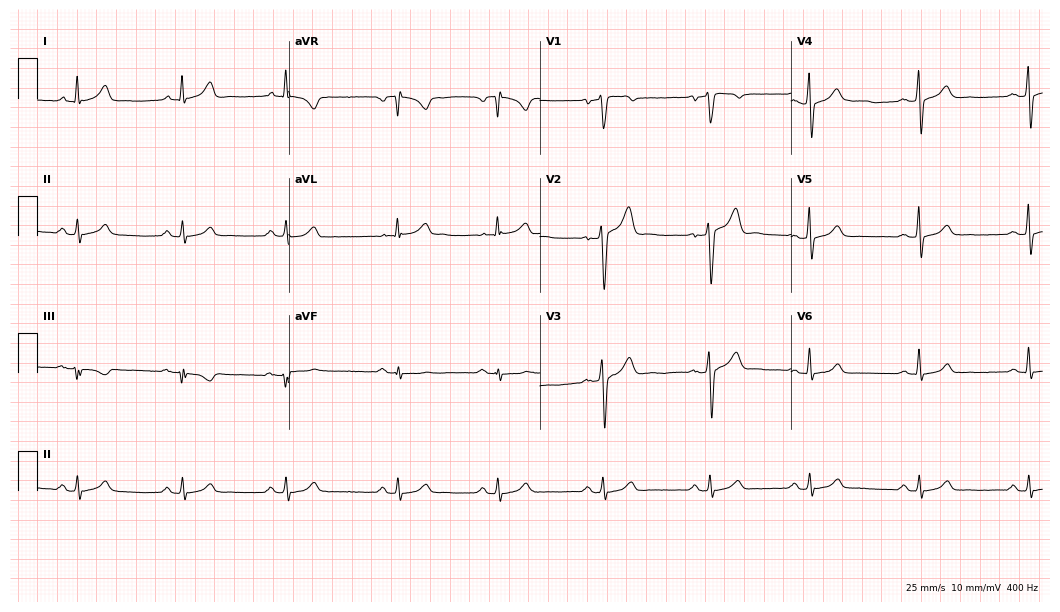
Electrocardiogram (10.2-second recording at 400 Hz), a 41-year-old male patient. Overall reading on record: normal ECG.